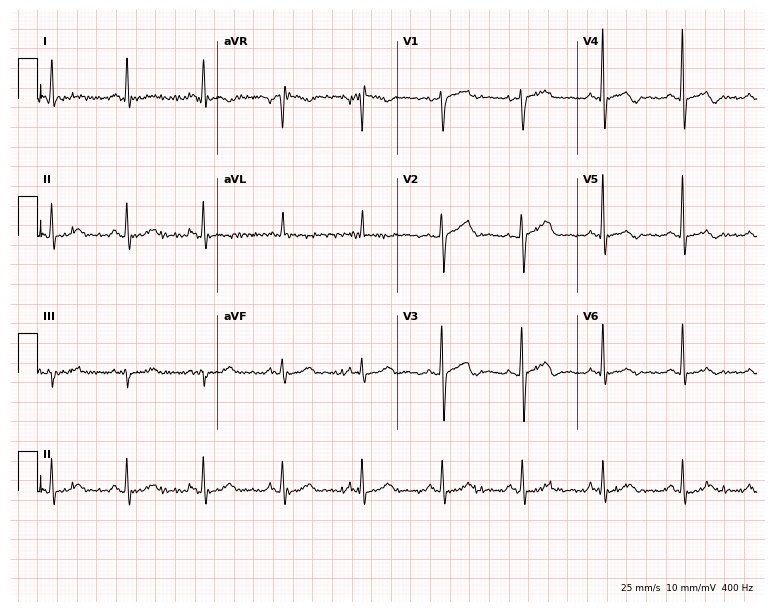
ECG — a 66-year-old female patient. Screened for six findings — first-degree AV block, right bundle branch block, left bundle branch block, sinus bradycardia, atrial fibrillation, sinus tachycardia — none is recorded.